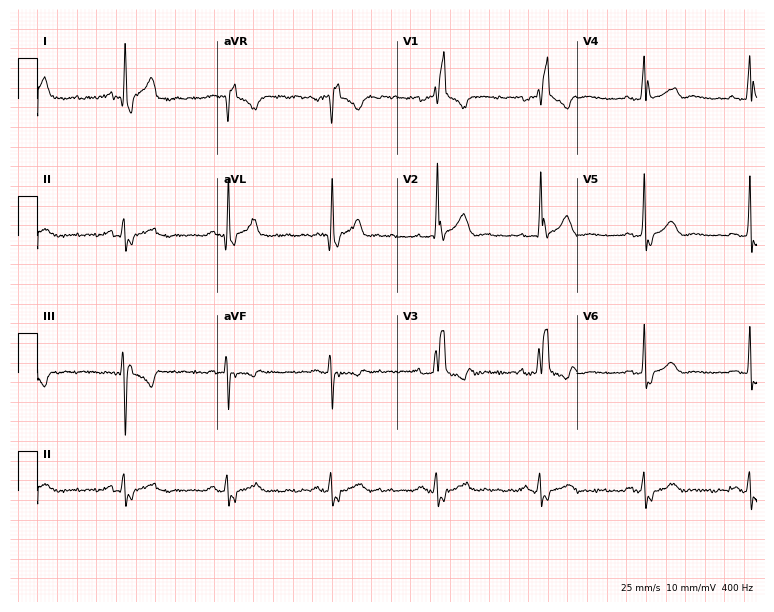
Resting 12-lead electrocardiogram. Patient: a 51-year-old man. The tracing shows right bundle branch block.